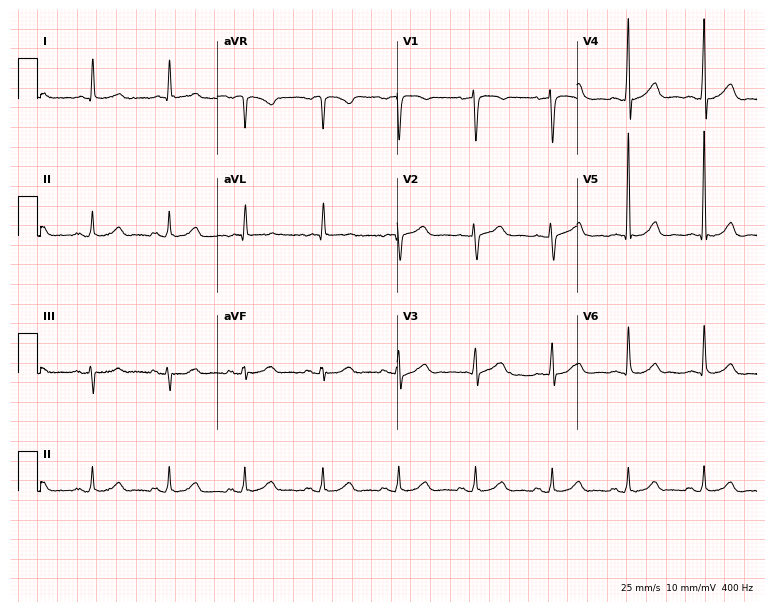
Electrocardiogram (7.3-second recording at 400 Hz), a man, 81 years old. Of the six screened findings (first-degree AV block, right bundle branch block (RBBB), left bundle branch block (LBBB), sinus bradycardia, atrial fibrillation (AF), sinus tachycardia), none is recorded.